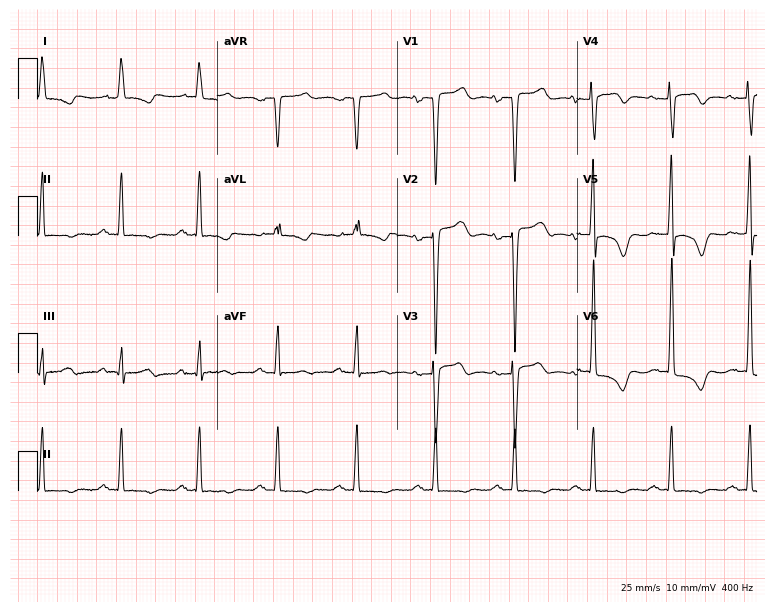
Electrocardiogram (7.3-second recording at 400 Hz), a 79-year-old woman. Of the six screened findings (first-degree AV block, right bundle branch block, left bundle branch block, sinus bradycardia, atrial fibrillation, sinus tachycardia), none is recorded. Findings outside these six are not listed.